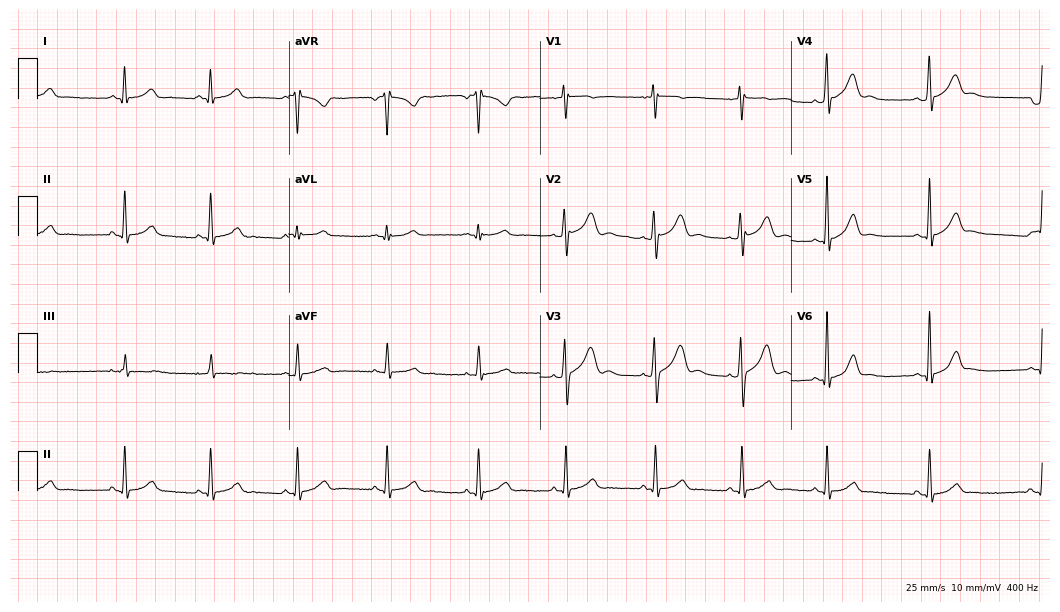
12-lead ECG from a woman, 17 years old. Recorded interpretation: within normal limits.